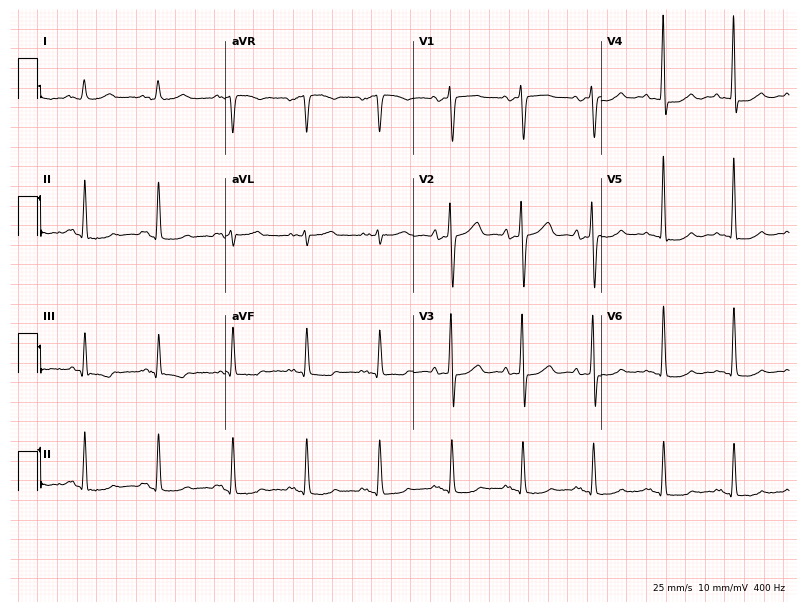
Resting 12-lead electrocardiogram (7.7-second recording at 400 Hz). Patient: a woman, 54 years old. None of these six findings is recorded: first-degree AV block, right bundle branch block, left bundle branch block, sinus bradycardia, atrial fibrillation, sinus tachycardia. Only these six findings were labelled.